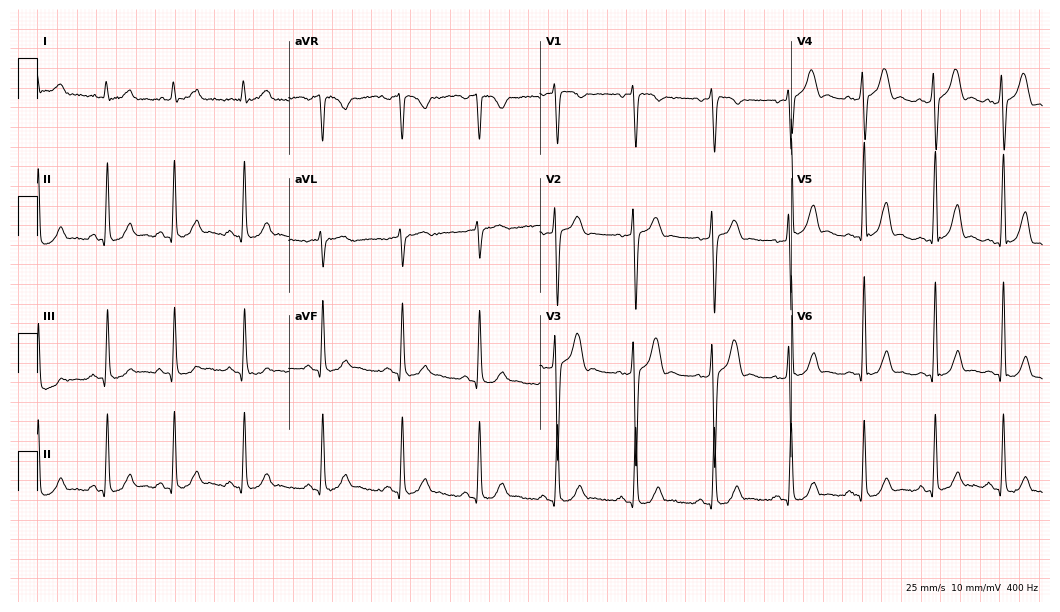
Electrocardiogram, a 25-year-old male. Overall reading on record: normal ECG.